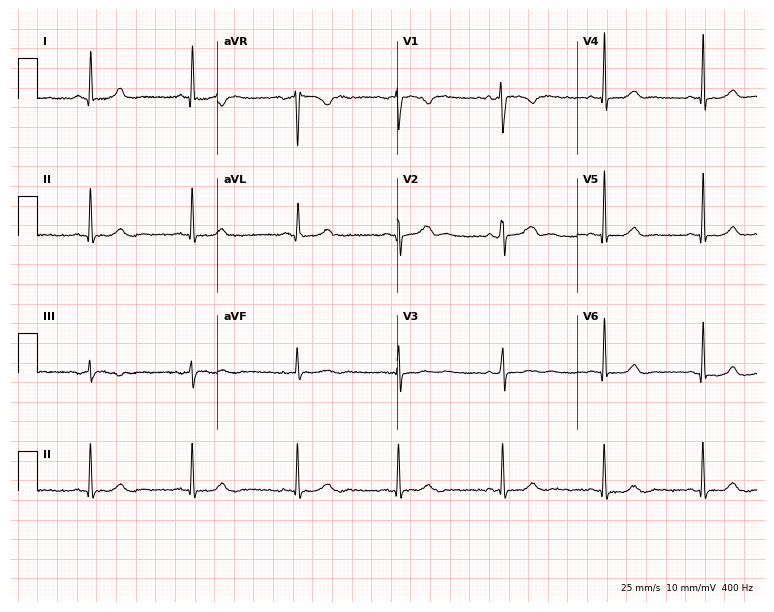
12-lead ECG from a 50-year-old woman. No first-degree AV block, right bundle branch block, left bundle branch block, sinus bradycardia, atrial fibrillation or sinus tachycardia recorded for this tracing. Only these six findings were labelled.